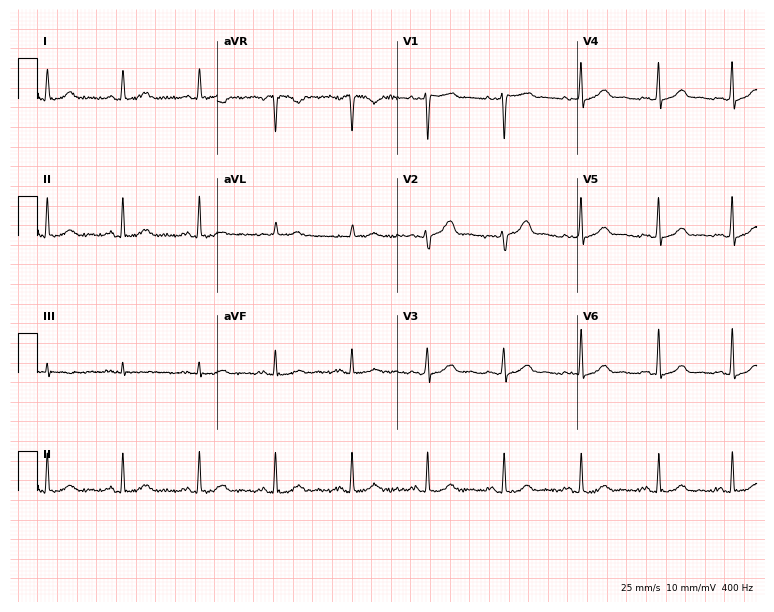
12-lead ECG from a 39-year-old female. Recorded interpretation: within normal limits.